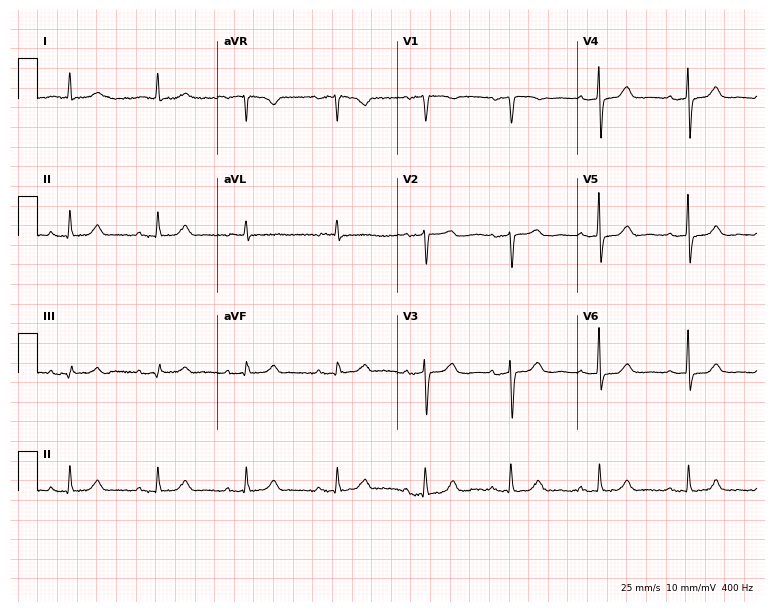
12-lead ECG from a 73-year-old woman. Labelled as a normal ECG.